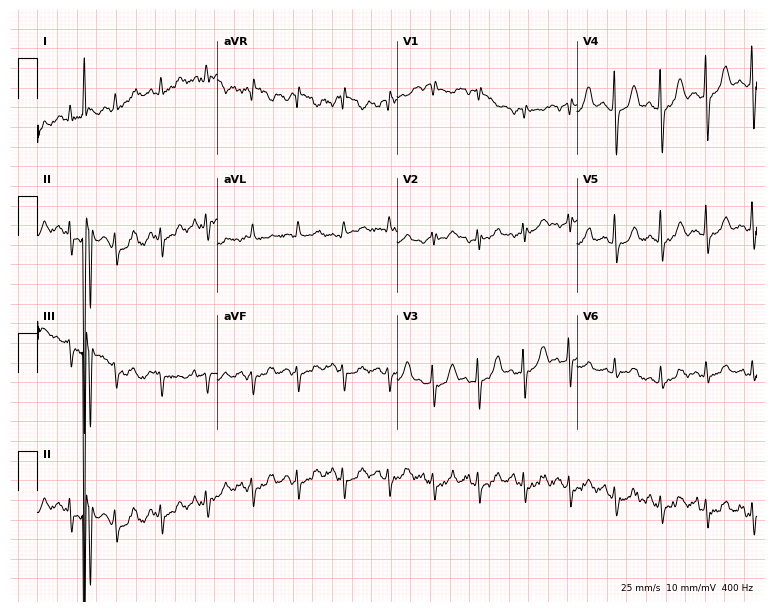
12-lead ECG (7.3-second recording at 400 Hz) from a 71-year-old woman. Findings include sinus tachycardia (a sinus rate of 100 beats per minute or more).